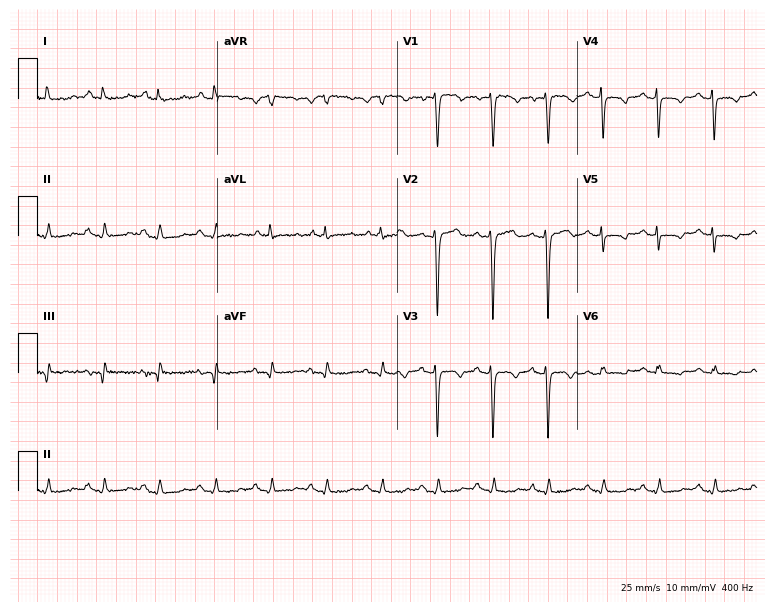
ECG (7.3-second recording at 400 Hz) — a woman, 56 years old. Findings include sinus tachycardia (a sinus rate of 100 beats per minute or more).